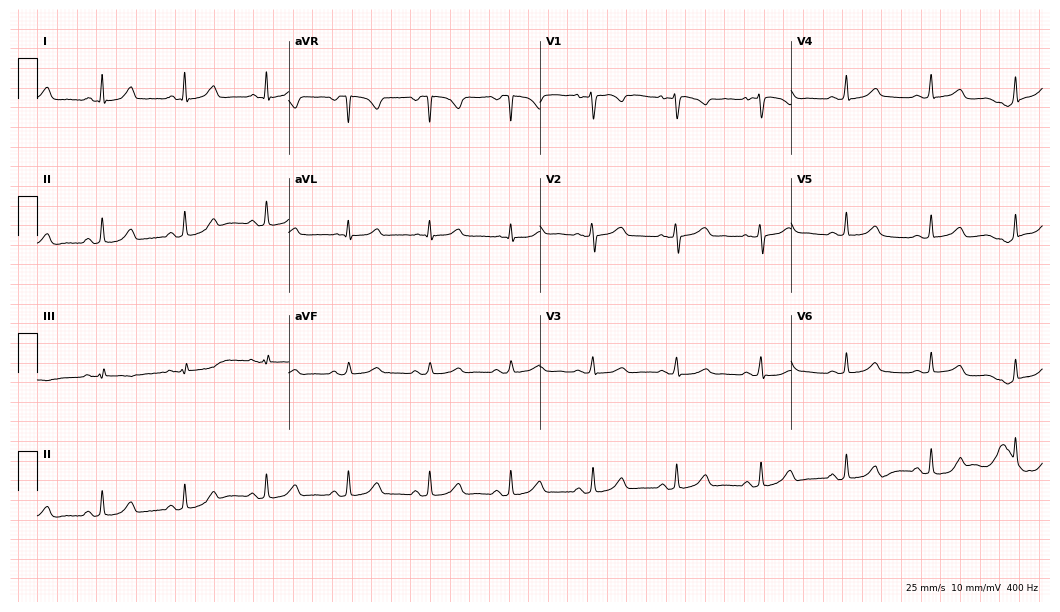
Electrocardiogram (10.2-second recording at 400 Hz), a woman, 38 years old. Overall reading on record: normal ECG.